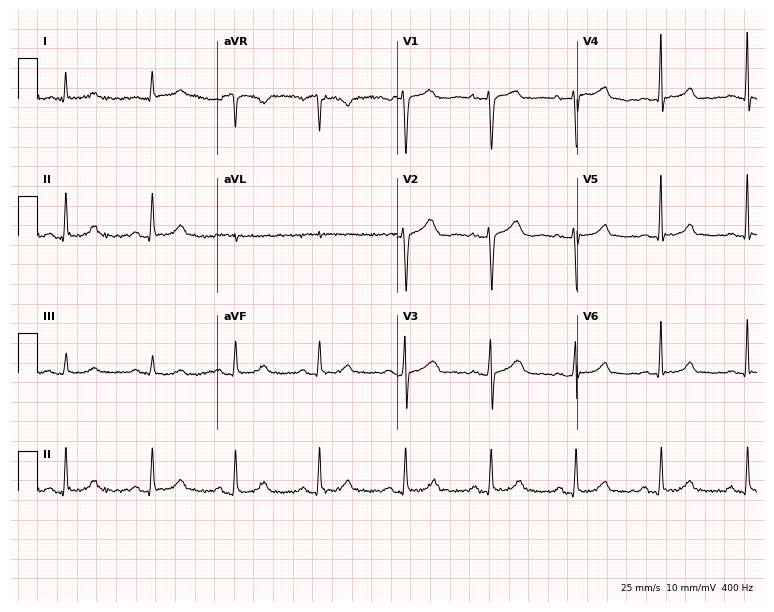
Resting 12-lead electrocardiogram. Patient: a woman, 56 years old. Read as a normal ECG.